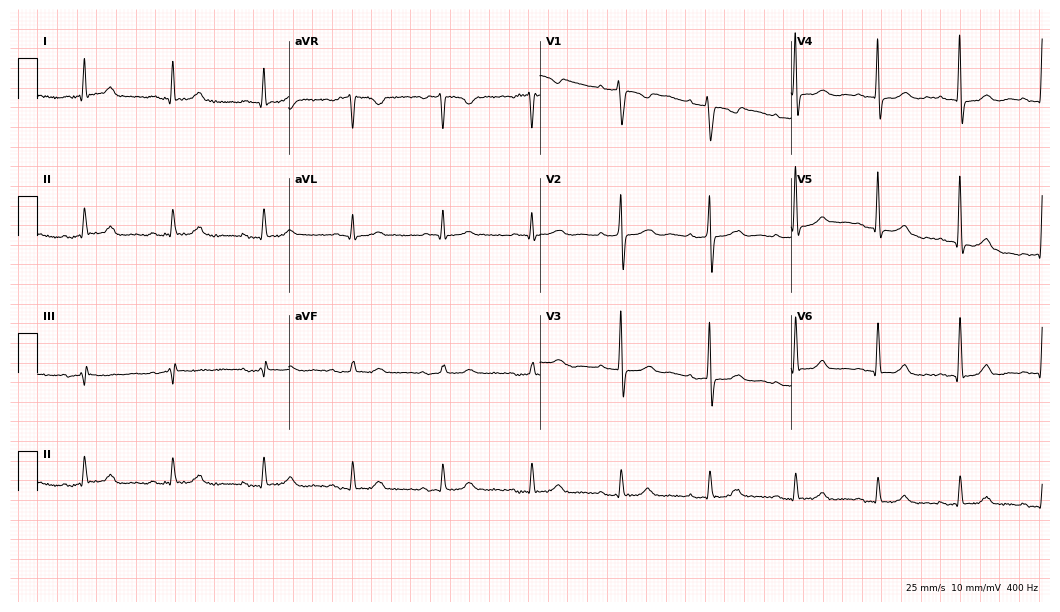
ECG — a 62-year-old man. Labelled as a normal ECG.